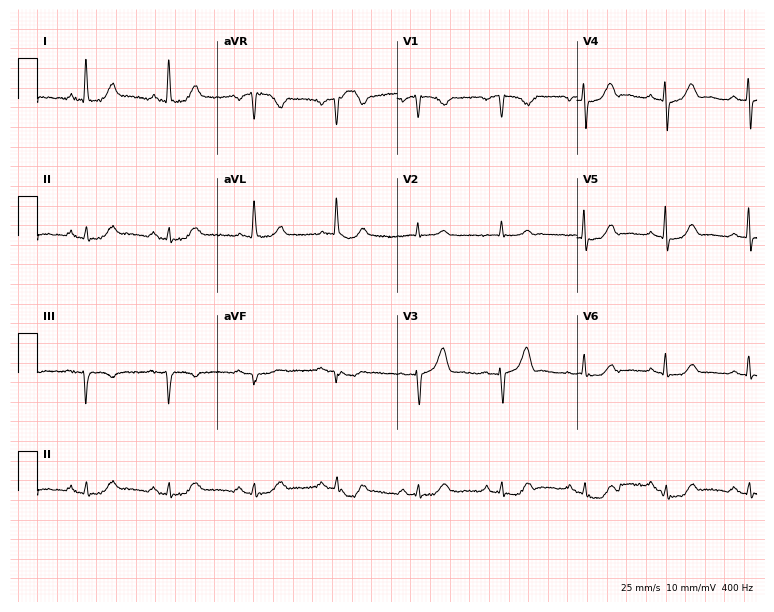
12-lead ECG from a 70-year-old man. Recorded interpretation: within normal limits.